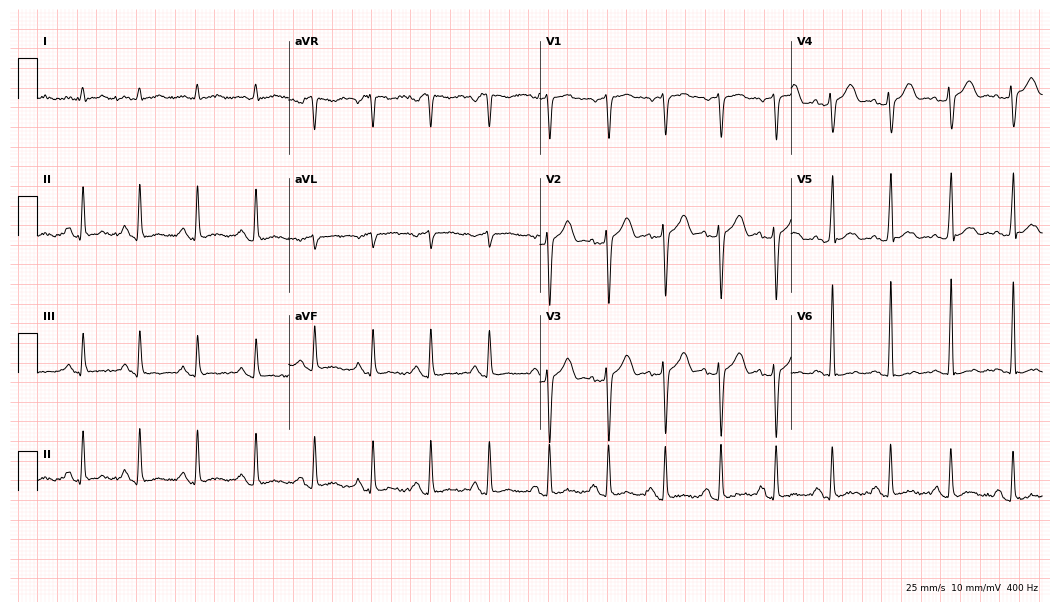
Electrocardiogram (10.2-second recording at 400 Hz), a man, 31 years old. Interpretation includes sinus tachycardia (a sinus rate of 100 beats per minute or more).